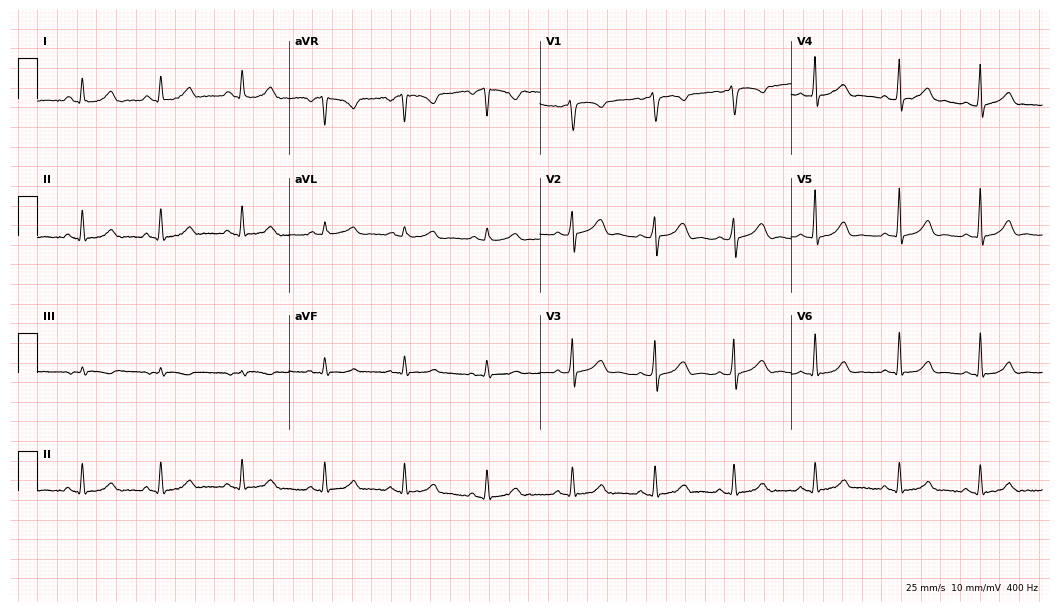
ECG — a 33-year-old female patient. Labelled as a normal ECG.